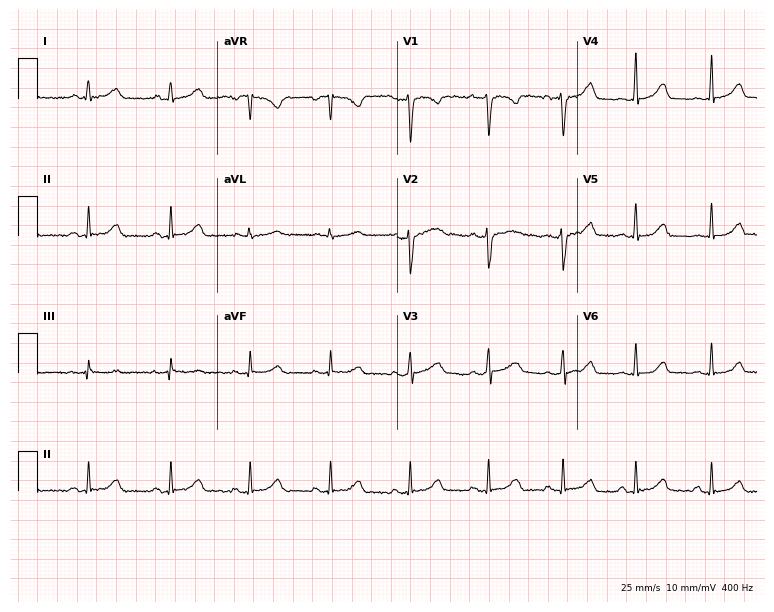
Electrocardiogram (7.3-second recording at 400 Hz), a woman, 26 years old. Overall reading on record: normal ECG.